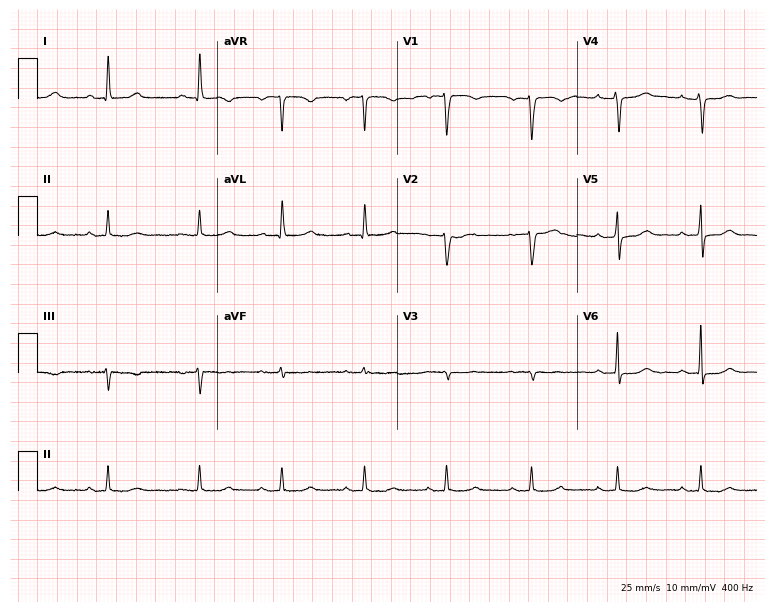
ECG — a 50-year-old female. Labelled as a normal ECG.